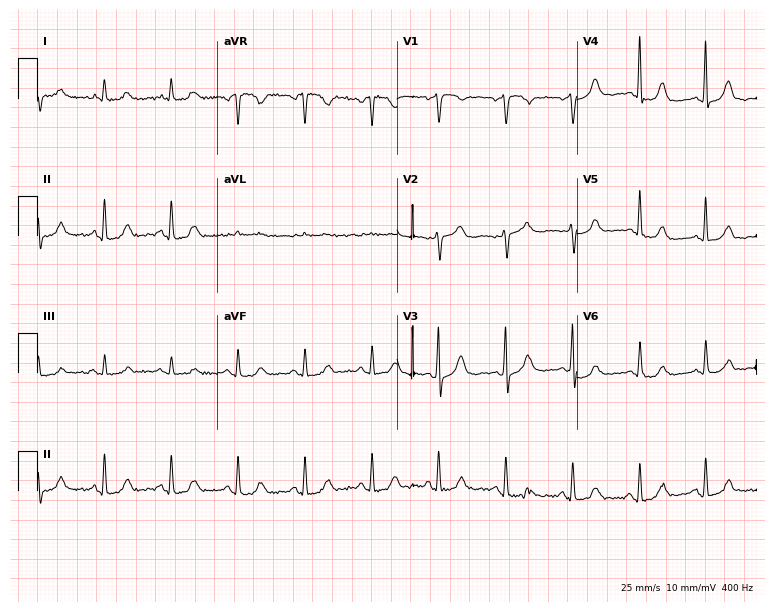
Resting 12-lead electrocardiogram. Patient: a female, 72 years old. None of these six findings is recorded: first-degree AV block, right bundle branch block, left bundle branch block, sinus bradycardia, atrial fibrillation, sinus tachycardia. Findings outside these six are not listed.